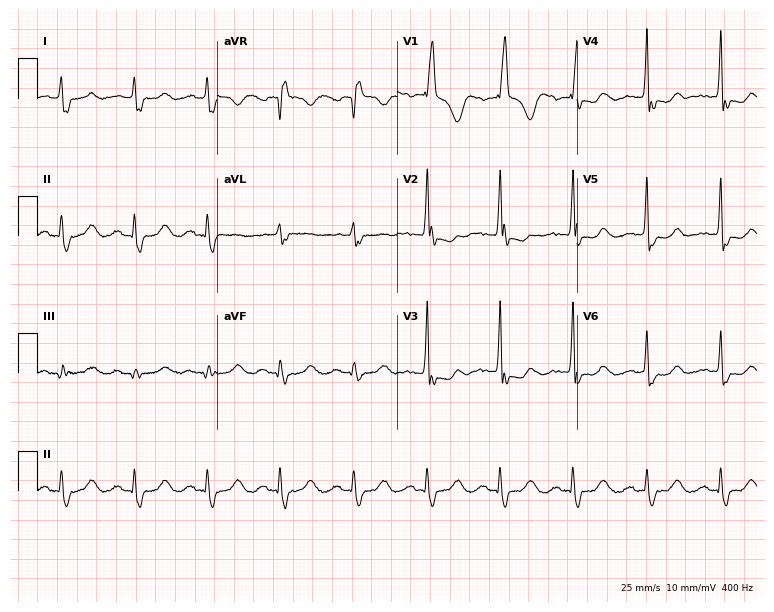
Resting 12-lead electrocardiogram (7.3-second recording at 400 Hz). Patient: a man, 70 years old. The tracing shows right bundle branch block.